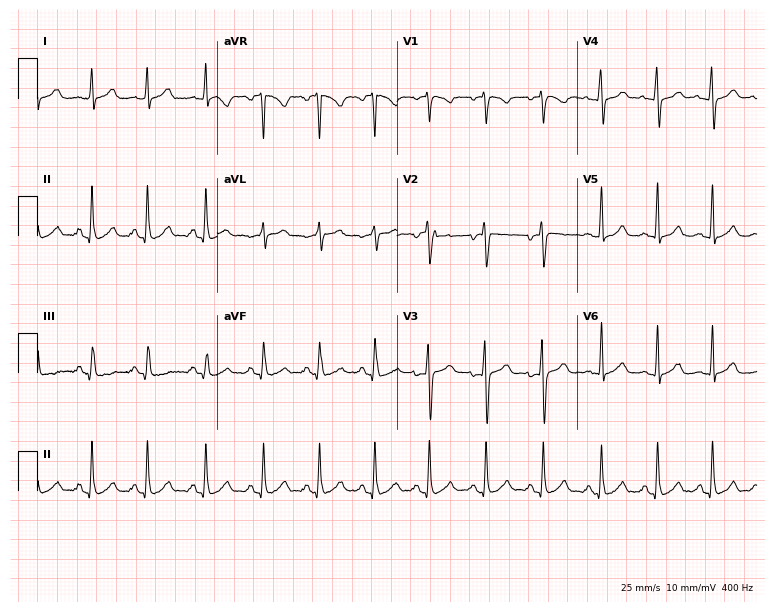
12-lead ECG from a 39-year-old female patient (7.3-second recording at 400 Hz). Shows sinus tachycardia (a sinus rate of 100 beats per minute or more).